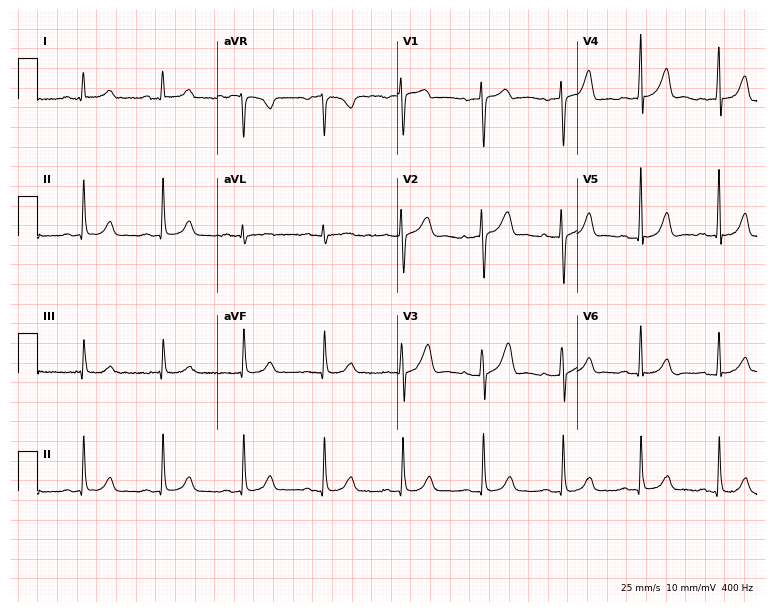
Electrocardiogram (7.3-second recording at 400 Hz), a 27-year-old female patient. Overall reading on record: normal ECG.